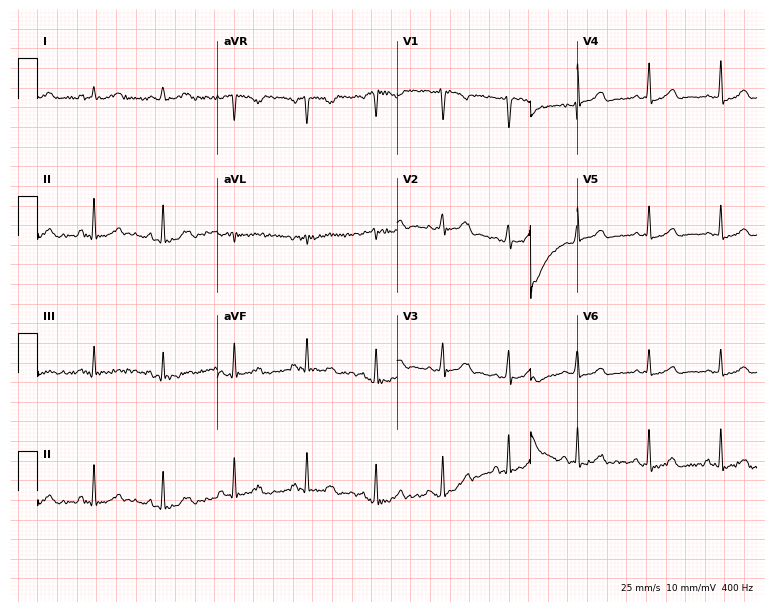
12-lead ECG from a 33-year-old female (7.3-second recording at 400 Hz). No first-degree AV block, right bundle branch block (RBBB), left bundle branch block (LBBB), sinus bradycardia, atrial fibrillation (AF) or sinus tachycardia recorded for this tracing. Other findings, if any, are not listed.